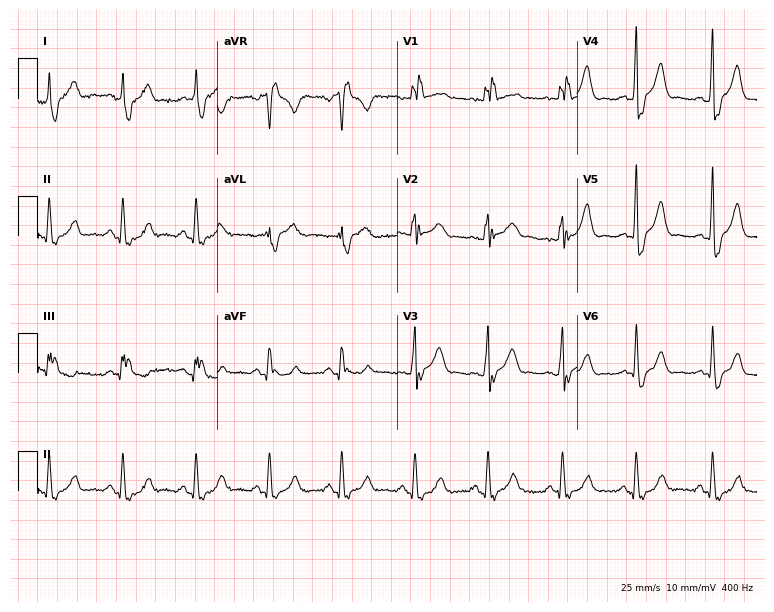
ECG — a 63-year-old man. Findings include right bundle branch block.